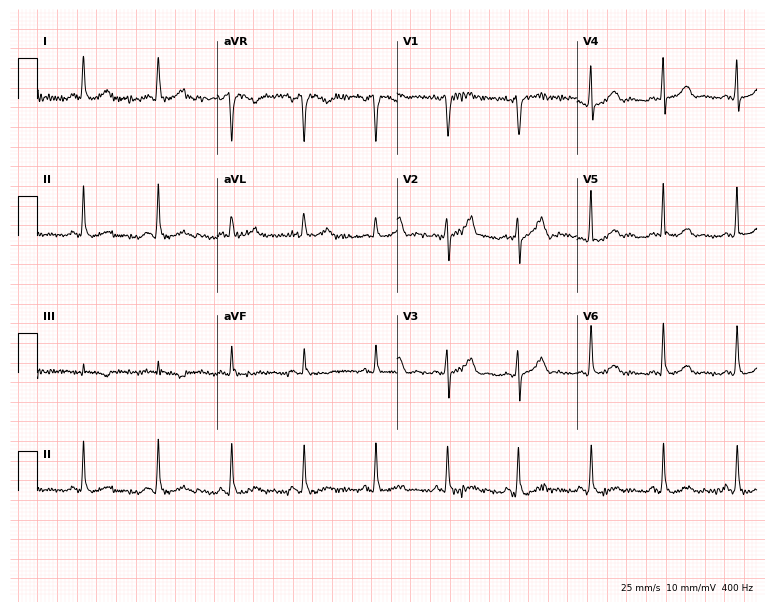
Electrocardiogram, a female patient, 57 years old. Of the six screened findings (first-degree AV block, right bundle branch block, left bundle branch block, sinus bradycardia, atrial fibrillation, sinus tachycardia), none is recorded. Other findings, if any, are not listed.